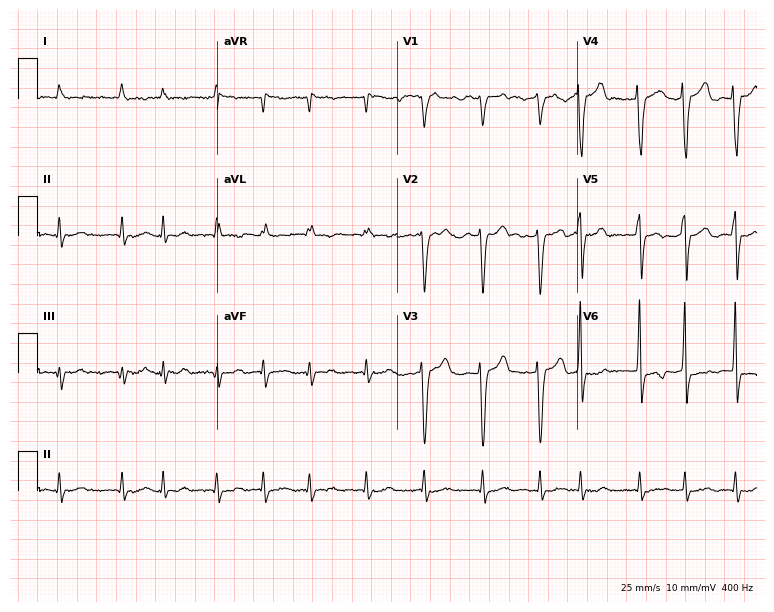
Resting 12-lead electrocardiogram (7.3-second recording at 400 Hz). Patient: a 70-year-old female. The tracing shows atrial fibrillation.